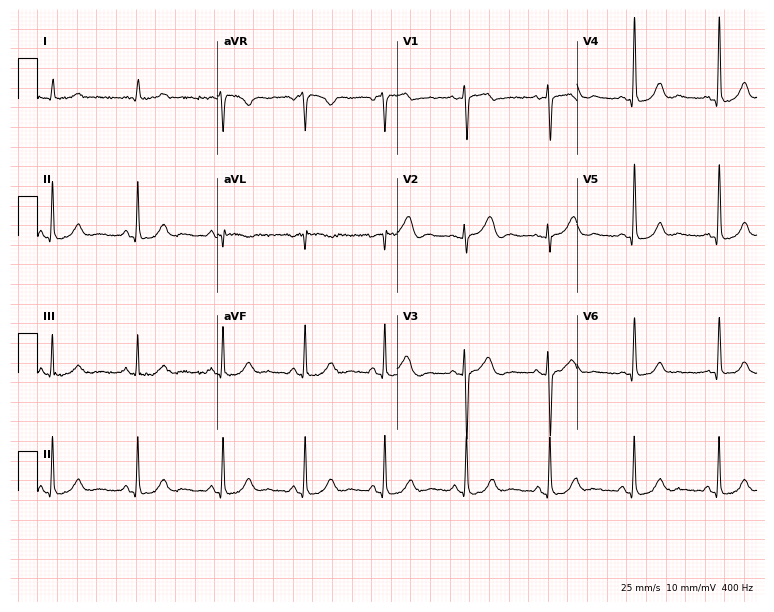
12-lead ECG (7.3-second recording at 400 Hz) from a 63-year-old female patient. Labelled as a normal ECG.